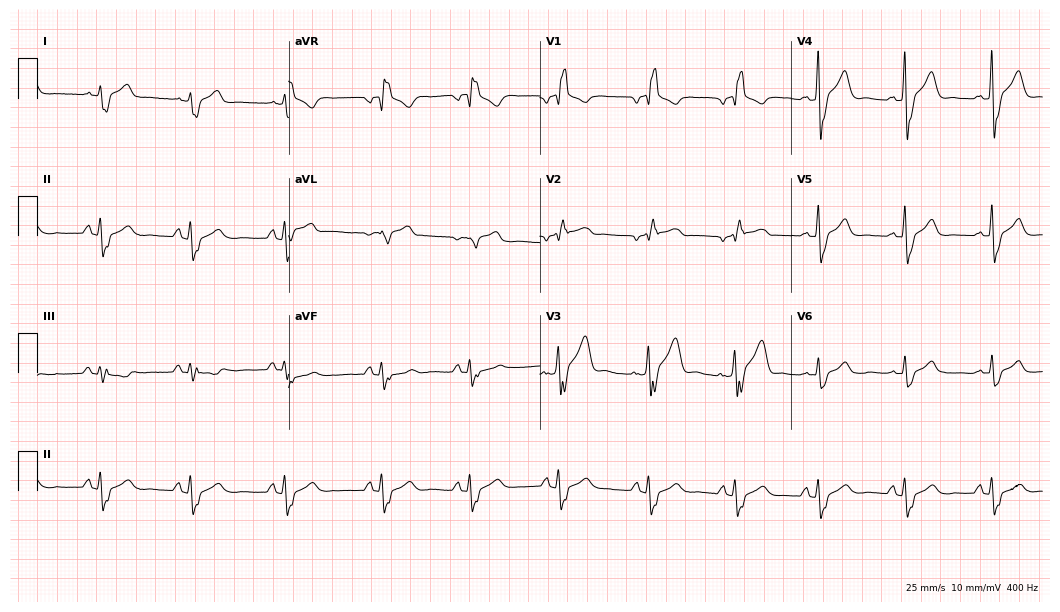
ECG (10.2-second recording at 400 Hz) — a 57-year-old male. Findings include right bundle branch block.